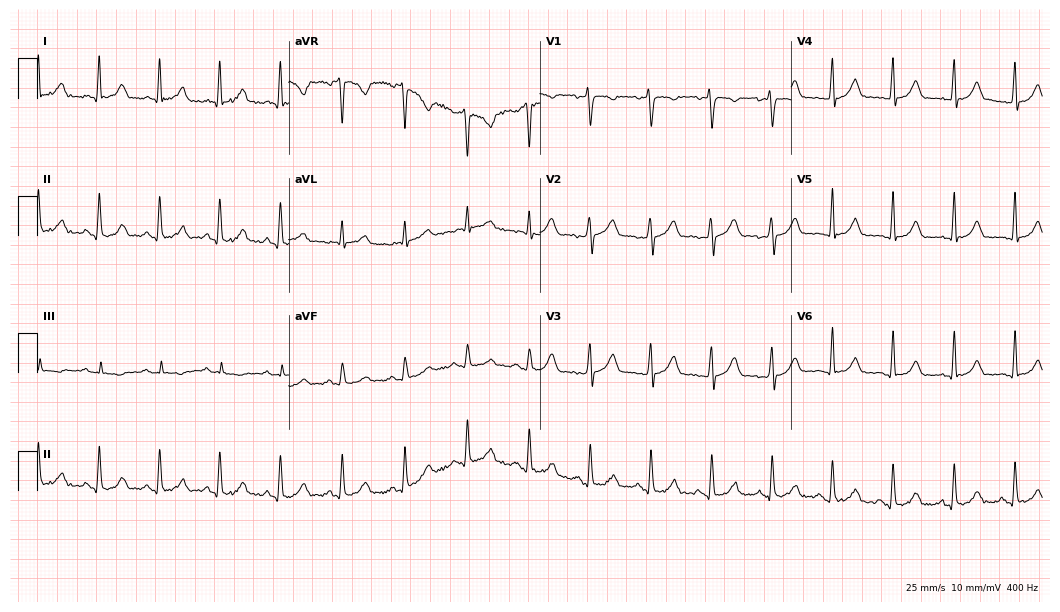
Resting 12-lead electrocardiogram (10.2-second recording at 400 Hz). Patient: a female, 29 years old. Read as a normal ECG.